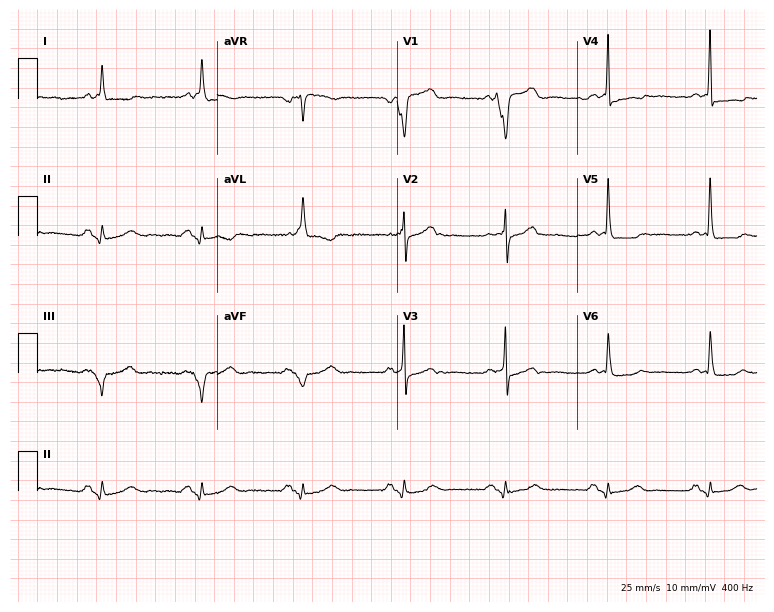
Standard 12-lead ECG recorded from a woman, 82 years old. None of these six findings is recorded: first-degree AV block, right bundle branch block (RBBB), left bundle branch block (LBBB), sinus bradycardia, atrial fibrillation (AF), sinus tachycardia. Findings outside these six are not listed.